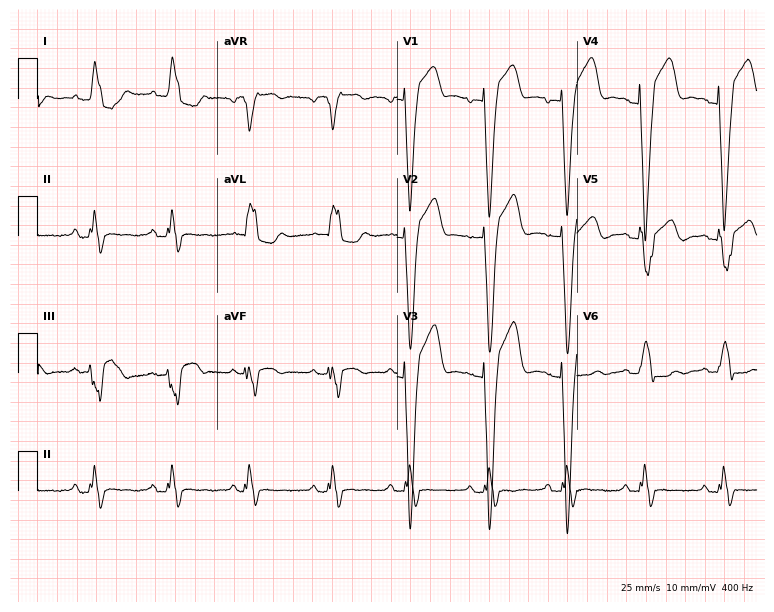
12-lead ECG from a 77-year-old female patient. Findings include left bundle branch block.